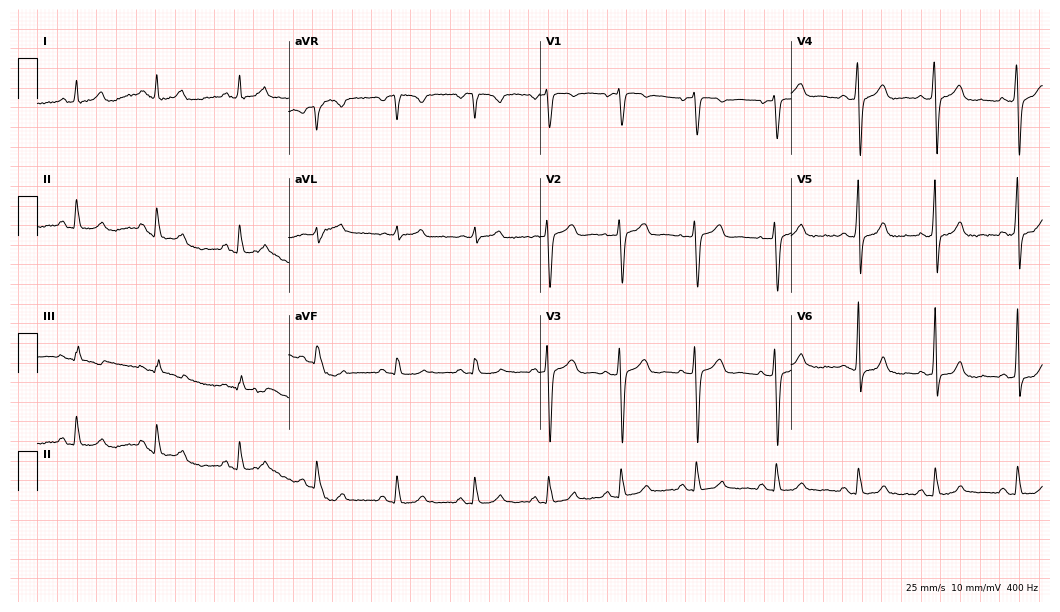
12-lead ECG from a male patient, 54 years old. Screened for six findings — first-degree AV block, right bundle branch block, left bundle branch block, sinus bradycardia, atrial fibrillation, sinus tachycardia — none is recorded.